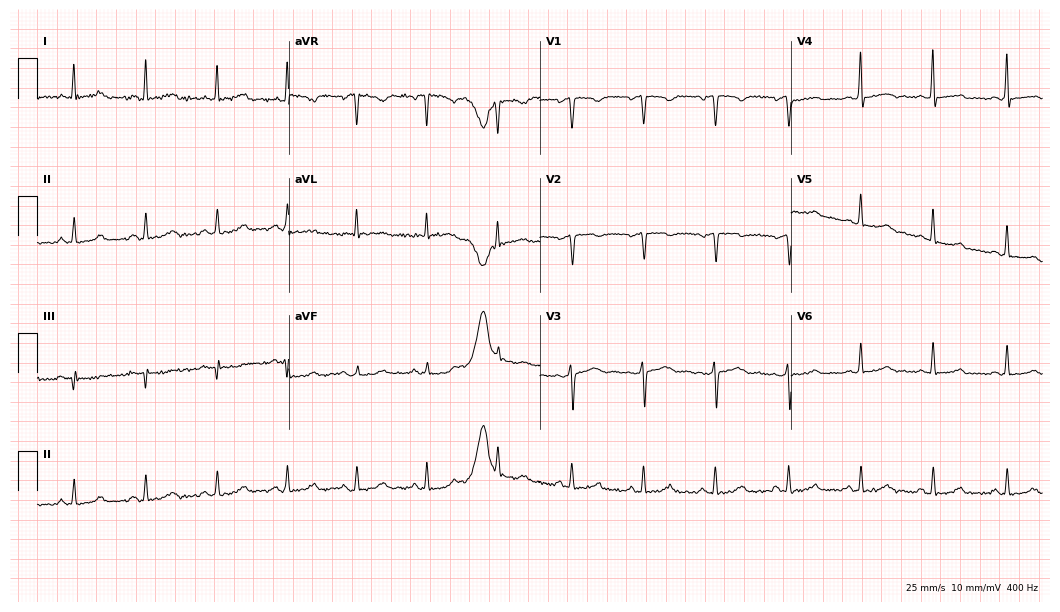
ECG — a 45-year-old female. Screened for six findings — first-degree AV block, right bundle branch block, left bundle branch block, sinus bradycardia, atrial fibrillation, sinus tachycardia — none is recorded. Other findings, if any, are not listed.